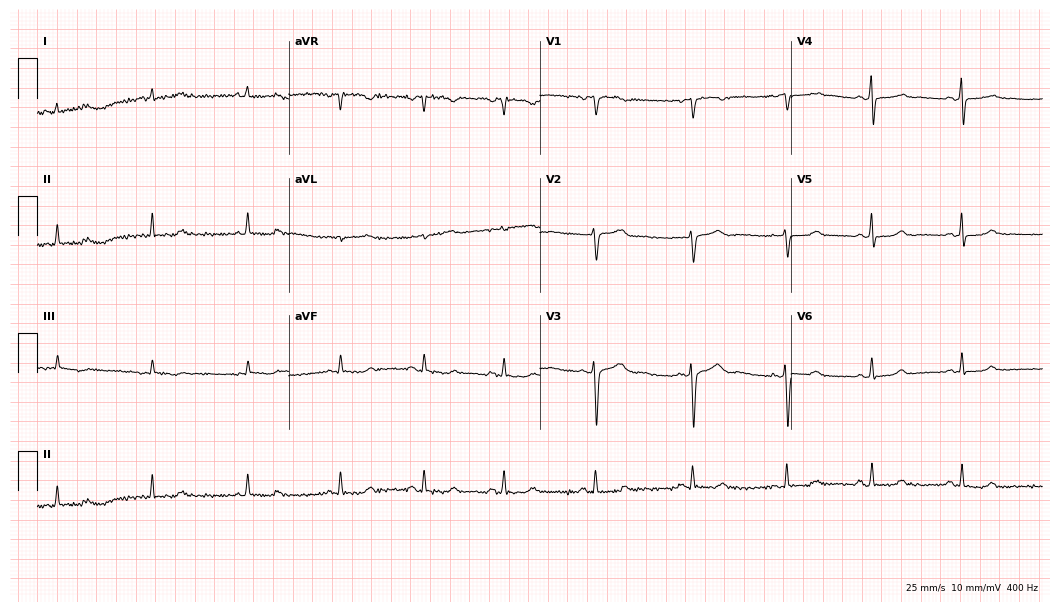
ECG — a 27-year-old woman. Screened for six findings — first-degree AV block, right bundle branch block, left bundle branch block, sinus bradycardia, atrial fibrillation, sinus tachycardia — none is recorded. Only these six findings were labelled.